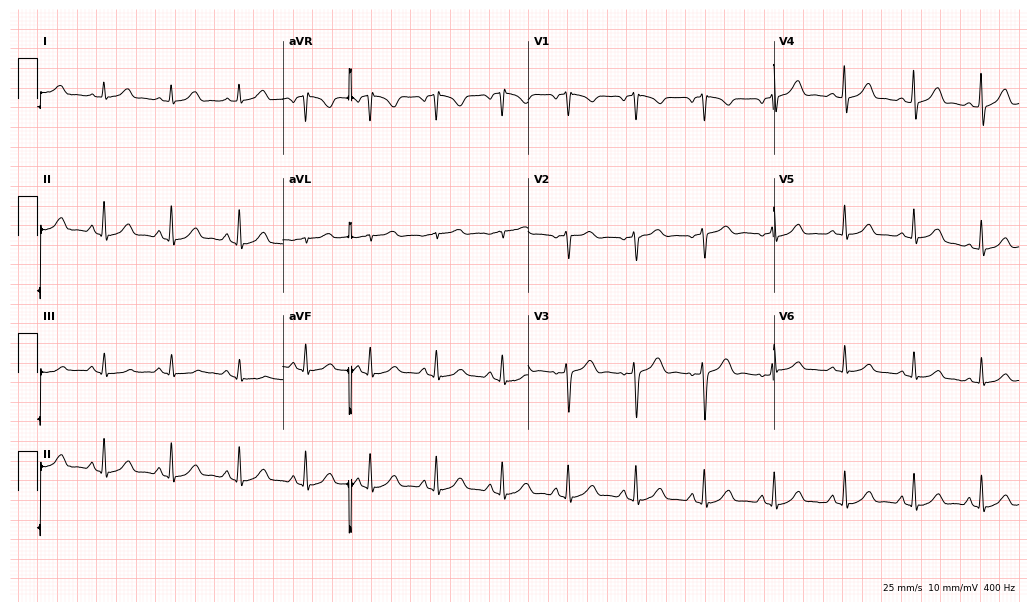
12-lead ECG (10-second recording at 400 Hz) from a woman, 41 years old. Labelled as a normal ECG.